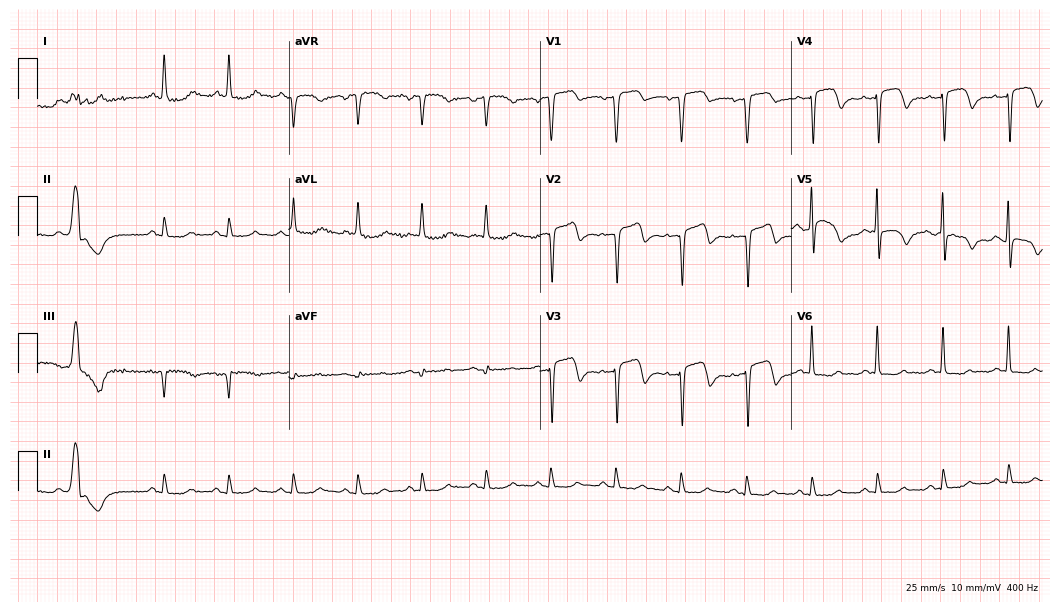
12-lead ECG from a 71-year-old woman. Screened for six findings — first-degree AV block, right bundle branch block (RBBB), left bundle branch block (LBBB), sinus bradycardia, atrial fibrillation (AF), sinus tachycardia — none is recorded.